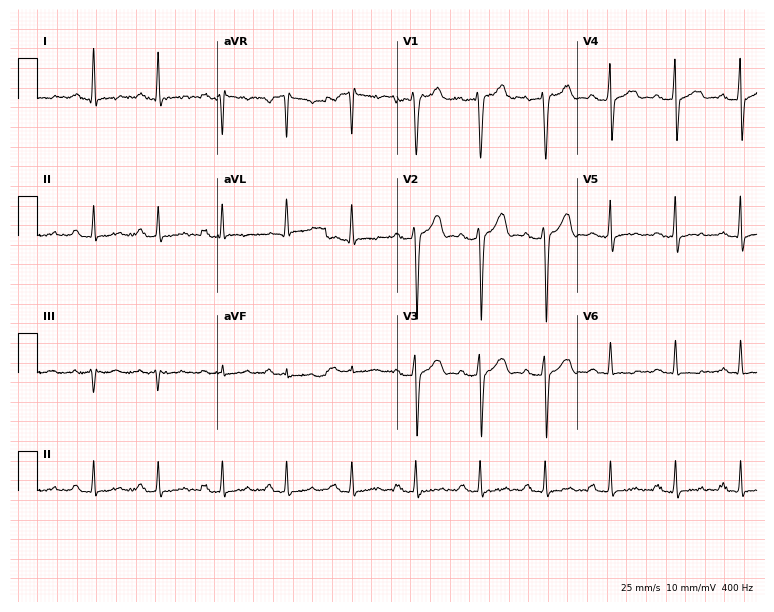
ECG — a 40-year-old man. Screened for six findings — first-degree AV block, right bundle branch block (RBBB), left bundle branch block (LBBB), sinus bradycardia, atrial fibrillation (AF), sinus tachycardia — none is recorded. Only these six findings were labelled.